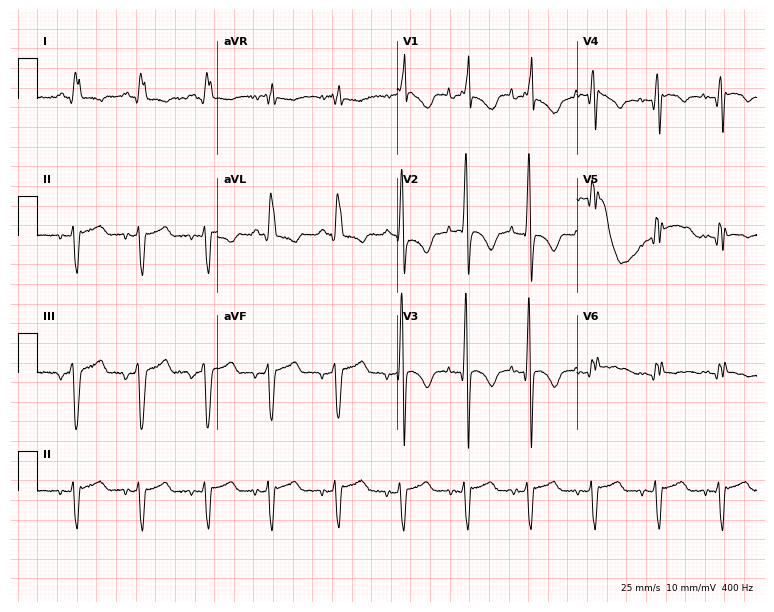
Electrocardiogram (7.3-second recording at 400 Hz), a 44-year-old female. Interpretation includes right bundle branch block.